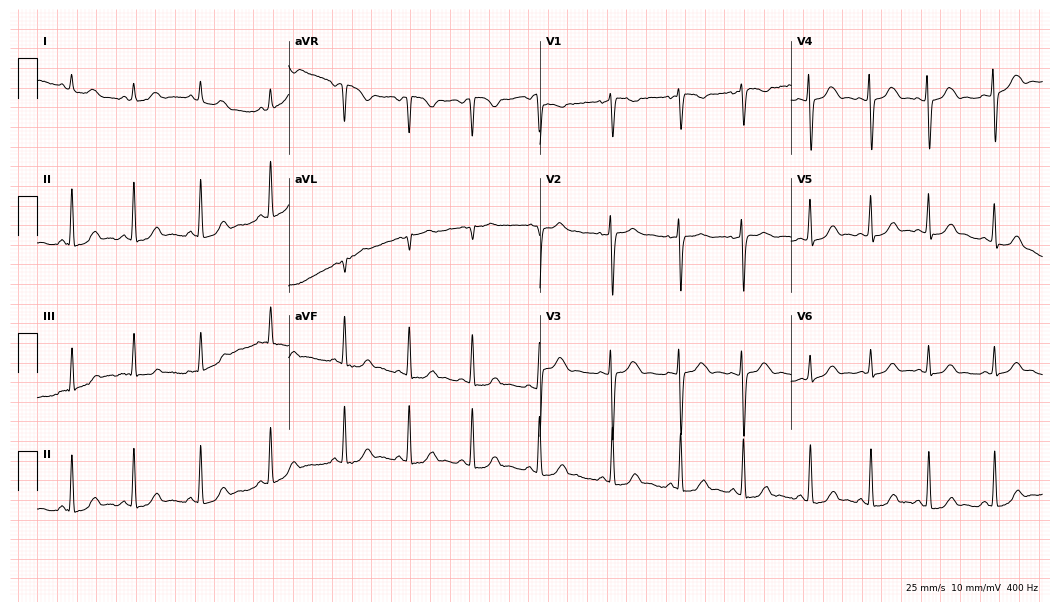
12-lead ECG from a woman, 19 years old. Labelled as a normal ECG.